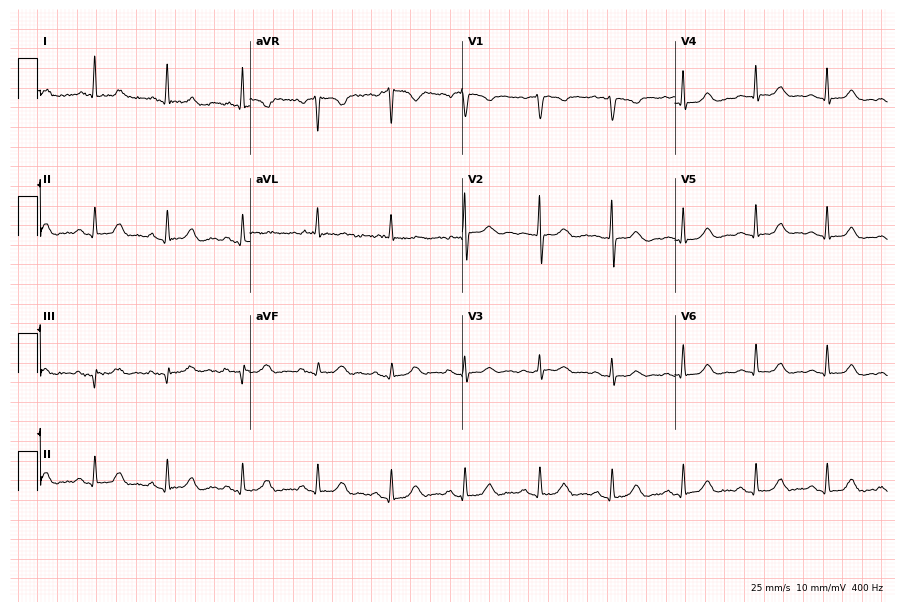
Electrocardiogram (8.7-second recording at 400 Hz), a female, 68 years old. Overall reading on record: normal ECG.